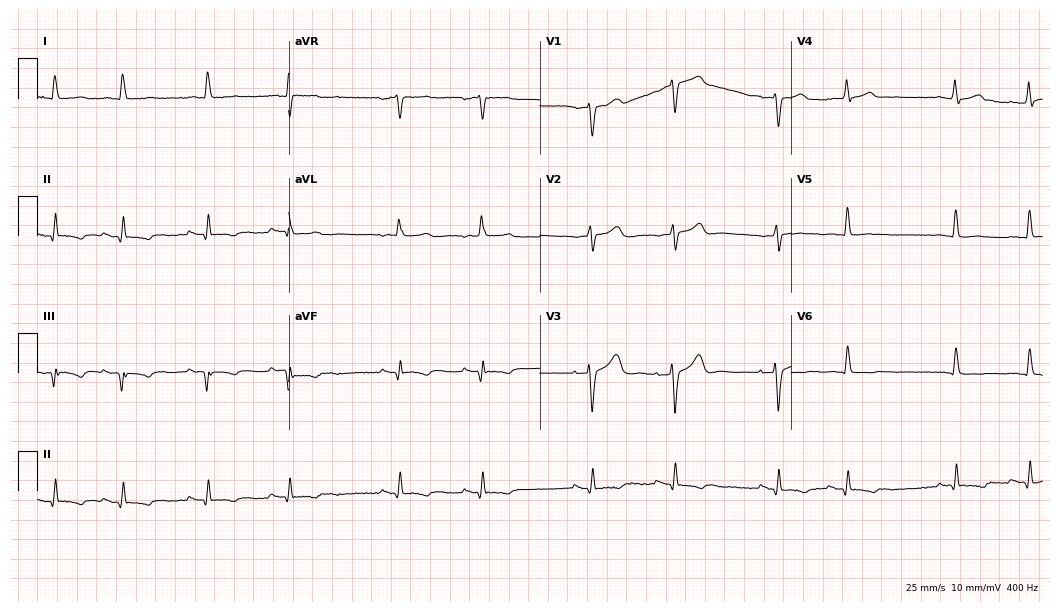
Standard 12-lead ECG recorded from an 87-year-old female patient (10.2-second recording at 400 Hz). None of these six findings is recorded: first-degree AV block, right bundle branch block, left bundle branch block, sinus bradycardia, atrial fibrillation, sinus tachycardia. Only these six findings were labelled.